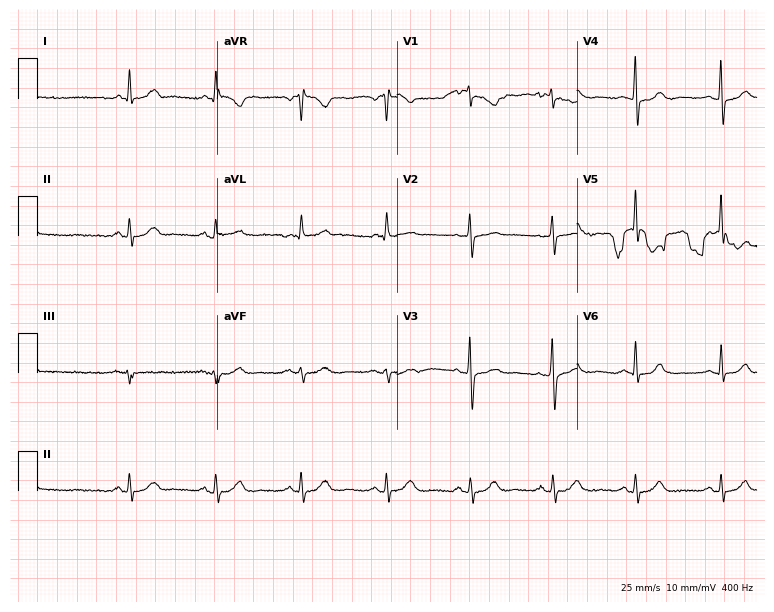
Electrocardiogram (7.3-second recording at 400 Hz), a 65-year-old woman. Overall reading on record: normal ECG.